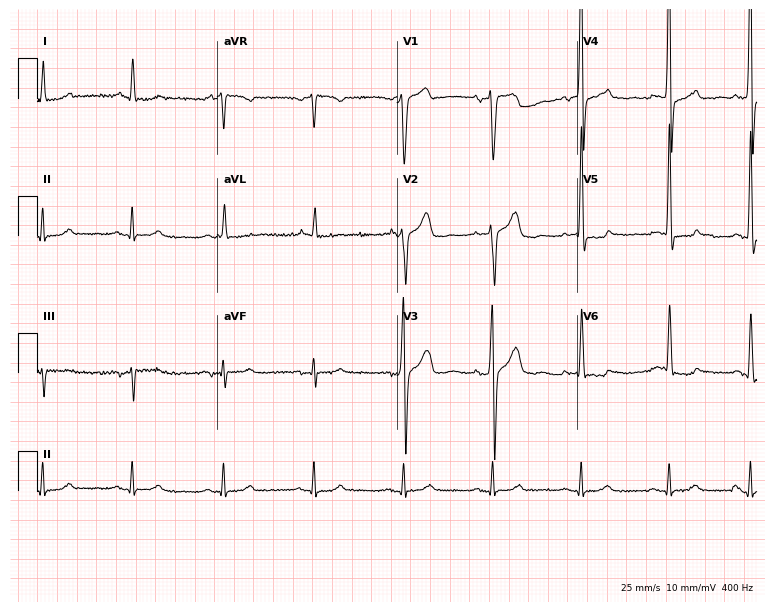
12-lead ECG from a 69-year-old male. No first-degree AV block, right bundle branch block (RBBB), left bundle branch block (LBBB), sinus bradycardia, atrial fibrillation (AF) or sinus tachycardia recorded for this tracing. Other findings, if any, are not listed.